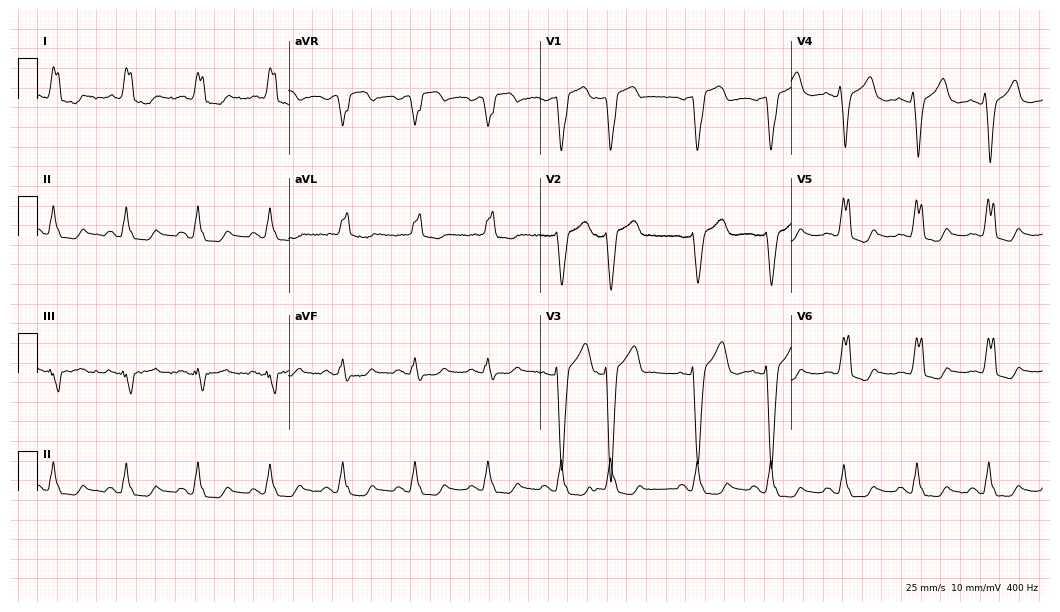
12-lead ECG (10.2-second recording at 400 Hz) from a female patient, 75 years old. Findings include left bundle branch block.